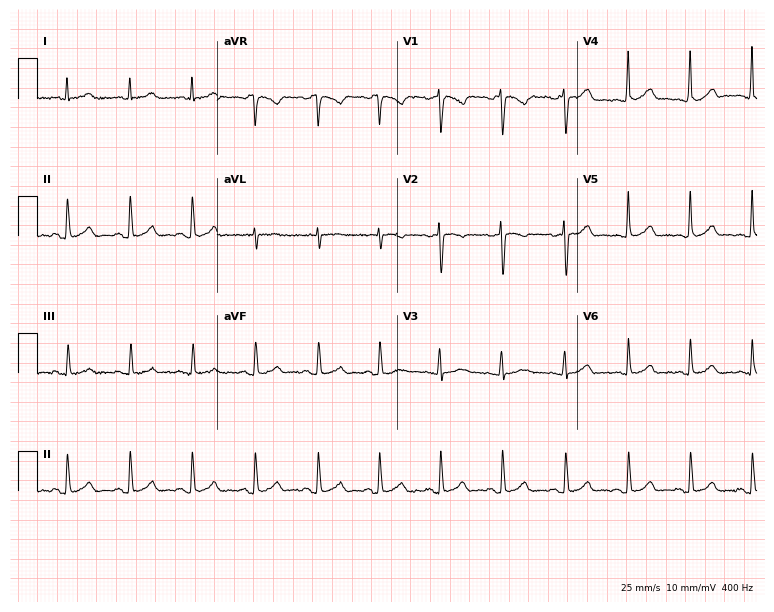
ECG — a 31-year-old woman. Labelled as a normal ECG.